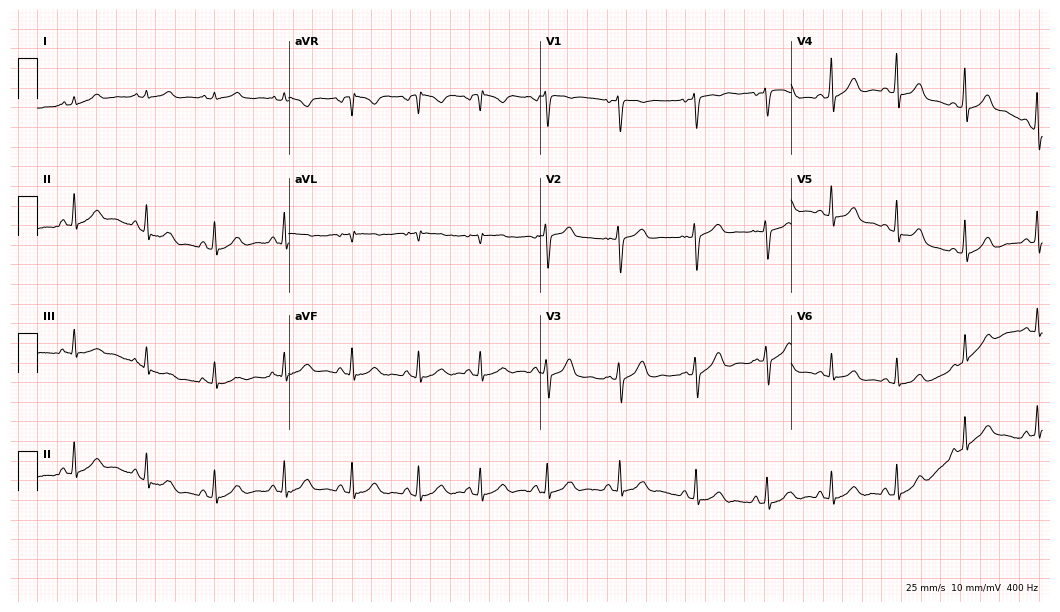
Resting 12-lead electrocardiogram (10.2-second recording at 400 Hz). Patient: a 22-year-old female. None of these six findings is recorded: first-degree AV block, right bundle branch block, left bundle branch block, sinus bradycardia, atrial fibrillation, sinus tachycardia.